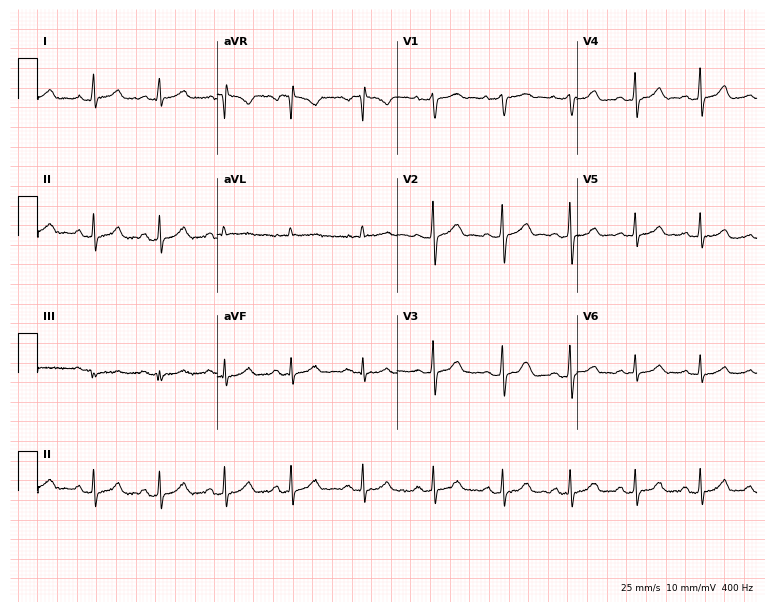
Standard 12-lead ECG recorded from a 41-year-old female. None of these six findings is recorded: first-degree AV block, right bundle branch block, left bundle branch block, sinus bradycardia, atrial fibrillation, sinus tachycardia. Only these six findings were labelled.